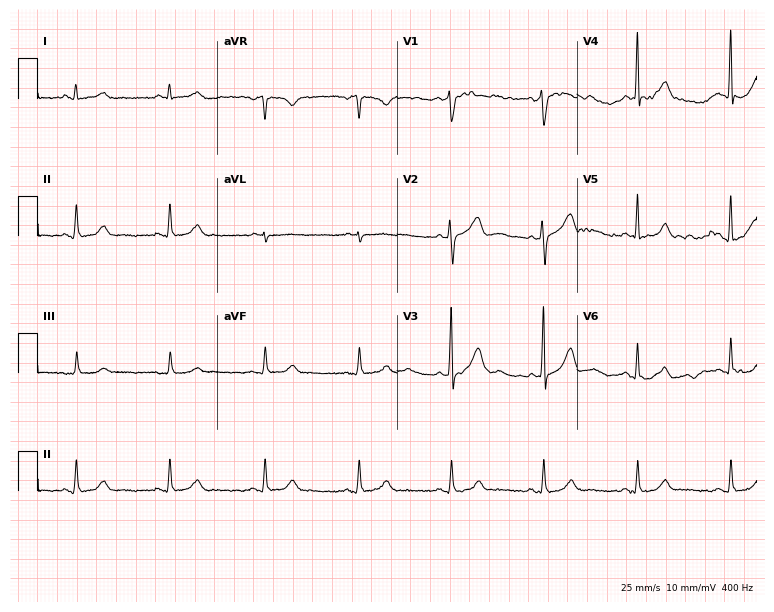
Electrocardiogram (7.3-second recording at 400 Hz), a 73-year-old male patient. Overall reading on record: normal ECG.